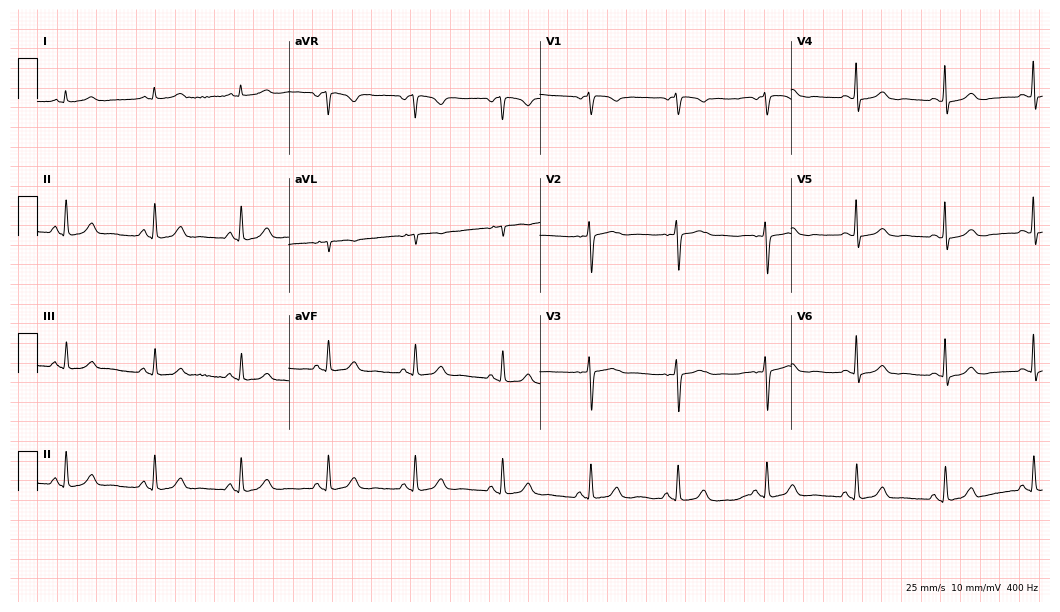
Standard 12-lead ECG recorded from a female patient, 53 years old (10.2-second recording at 400 Hz). None of these six findings is recorded: first-degree AV block, right bundle branch block, left bundle branch block, sinus bradycardia, atrial fibrillation, sinus tachycardia. Findings outside these six are not listed.